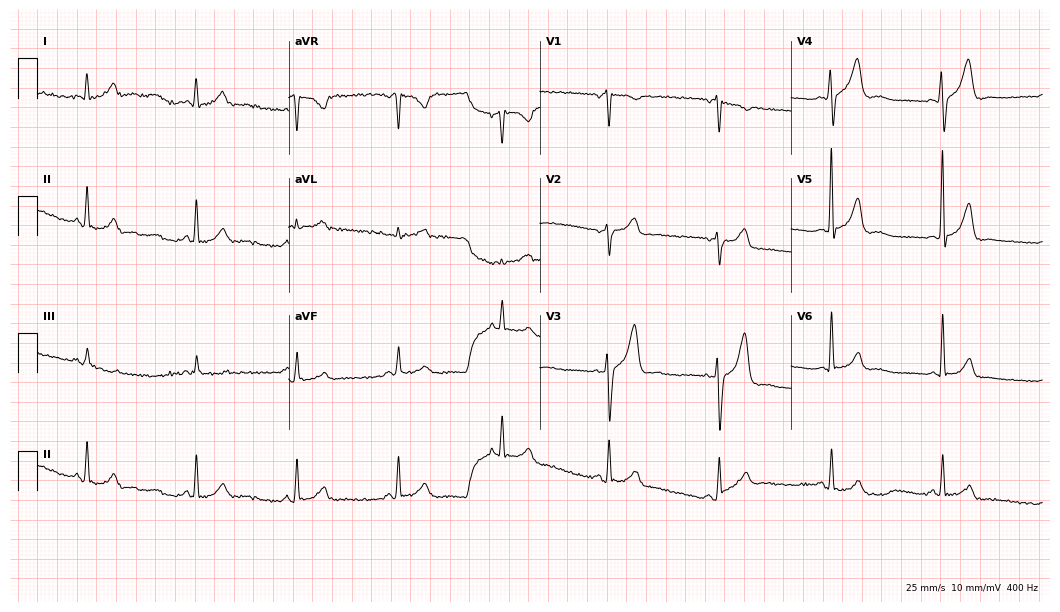
12-lead ECG from a man, 62 years old. Labelled as a normal ECG.